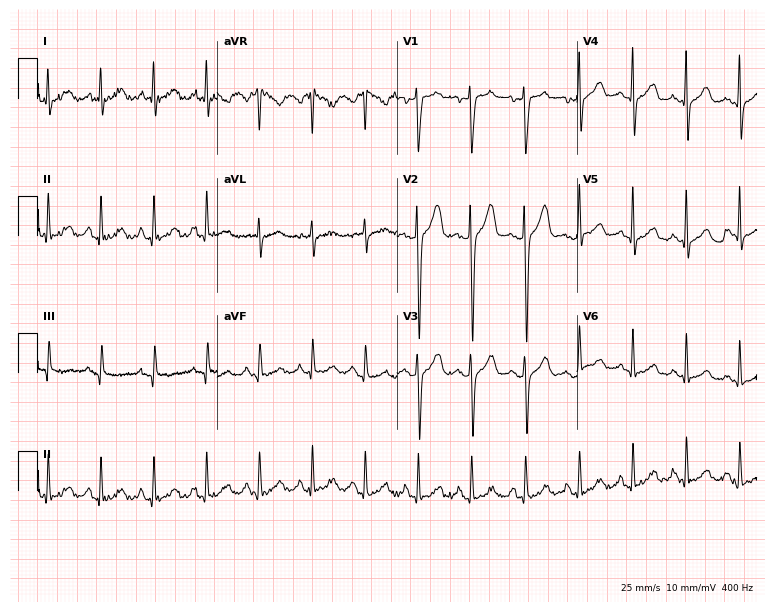
12-lead ECG (7.3-second recording at 400 Hz) from a 39-year-old male patient. Screened for six findings — first-degree AV block, right bundle branch block, left bundle branch block, sinus bradycardia, atrial fibrillation, sinus tachycardia — none is recorded. Findings outside these six are not listed.